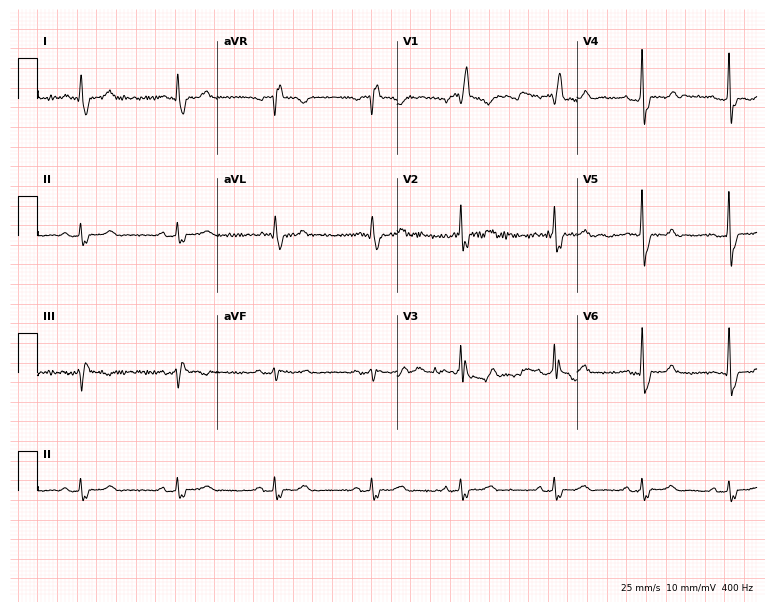
Resting 12-lead electrocardiogram. Patient: a male, 85 years old. The tracing shows right bundle branch block (RBBB).